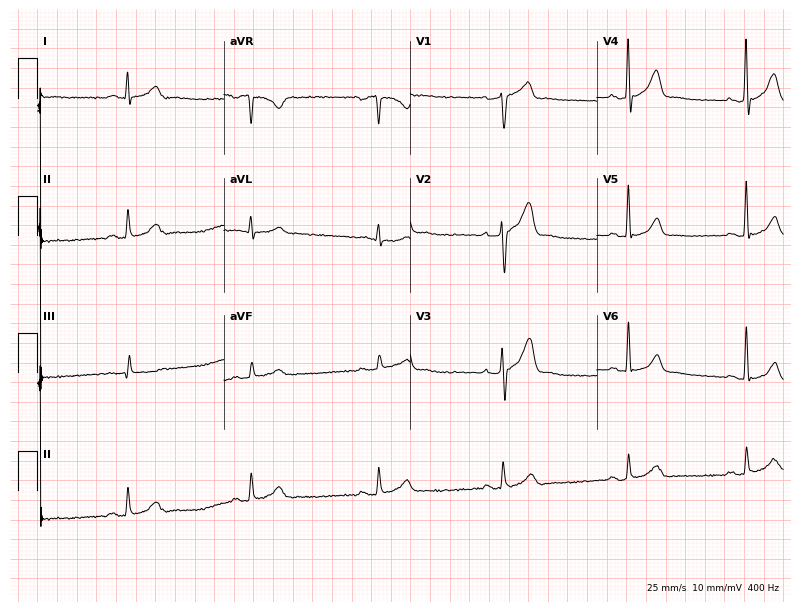
ECG (7.6-second recording at 400 Hz) — a 57-year-old male. Screened for six findings — first-degree AV block, right bundle branch block, left bundle branch block, sinus bradycardia, atrial fibrillation, sinus tachycardia — none is recorded.